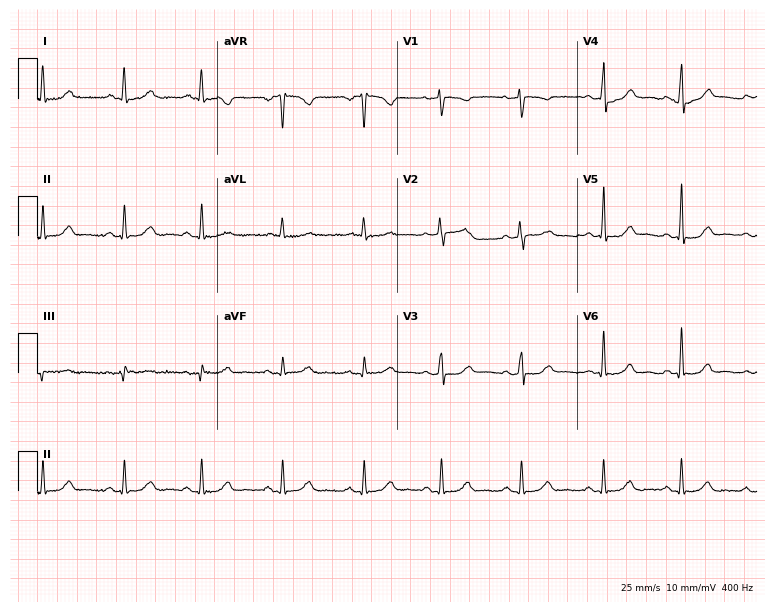
ECG (7.3-second recording at 400 Hz) — a woman, 58 years old. Screened for six findings — first-degree AV block, right bundle branch block (RBBB), left bundle branch block (LBBB), sinus bradycardia, atrial fibrillation (AF), sinus tachycardia — none is recorded. Other findings, if any, are not listed.